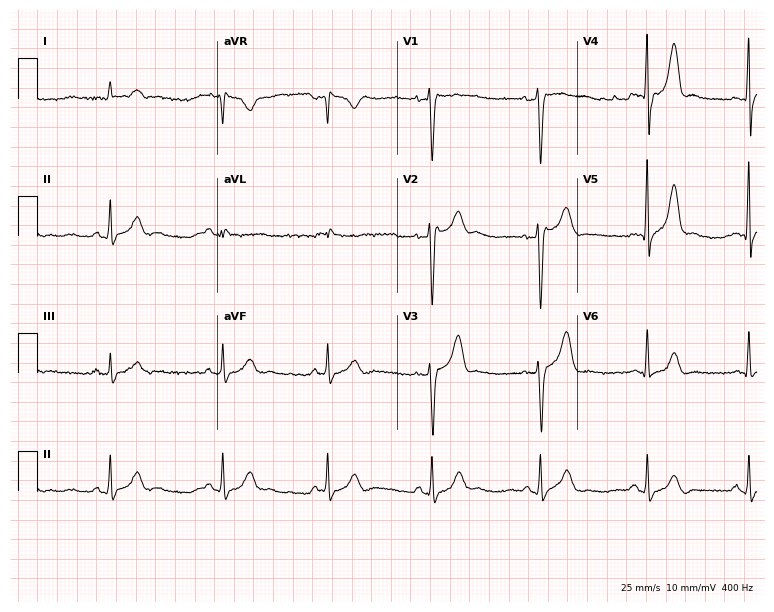
12-lead ECG (7.3-second recording at 400 Hz) from a 43-year-old male patient. Screened for six findings — first-degree AV block, right bundle branch block, left bundle branch block, sinus bradycardia, atrial fibrillation, sinus tachycardia — none is recorded. Findings outside these six are not listed.